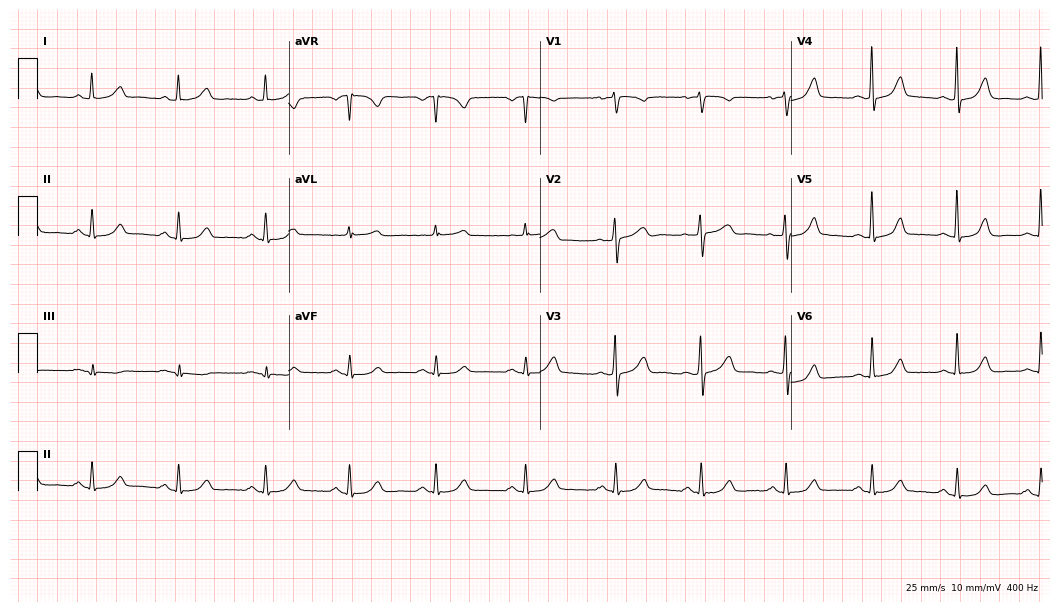
12-lead ECG from a woman, 46 years old. No first-degree AV block, right bundle branch block, left bundle branch block, sinus bradycardia, atrial fibrillation or sinus tachycardia recorded for this tracing. Findings outside these six are not listed.